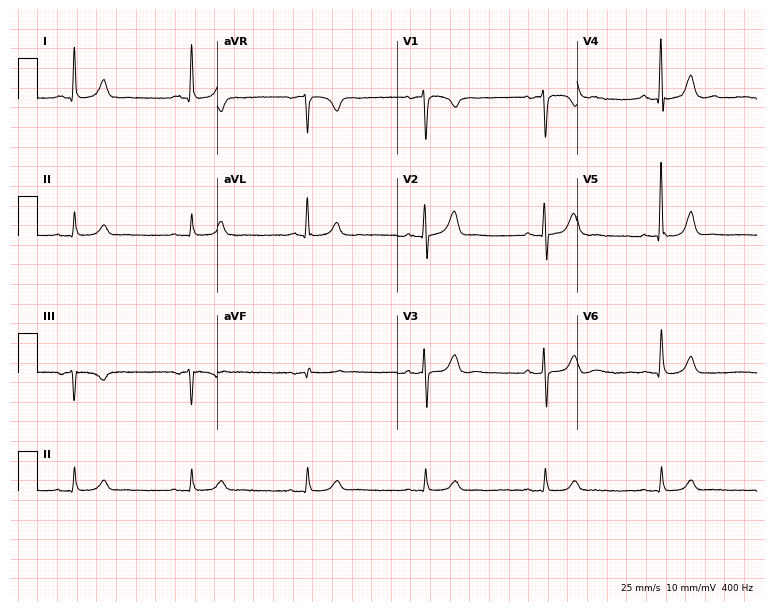
Electrocardiogram (7.3-second recording at 400 Hz), an 85-year-old male patient. Overall reading on record: normal ECG.